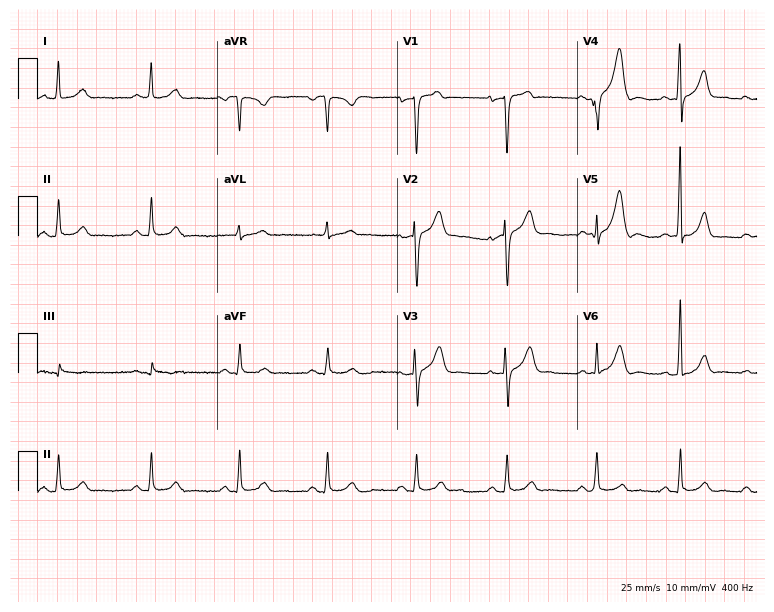
12-lead ECG from a man, 51 years old. Recorded interpretation: within normal limits.